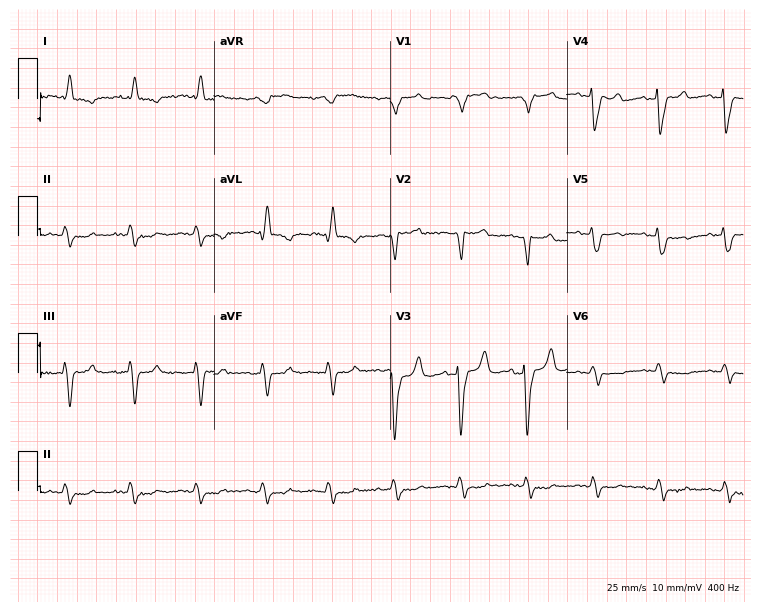
12-lead ECG from a female patient, 81 years old. Findings include left bundle branch block (LBBB), atrial fibrillation (AF).